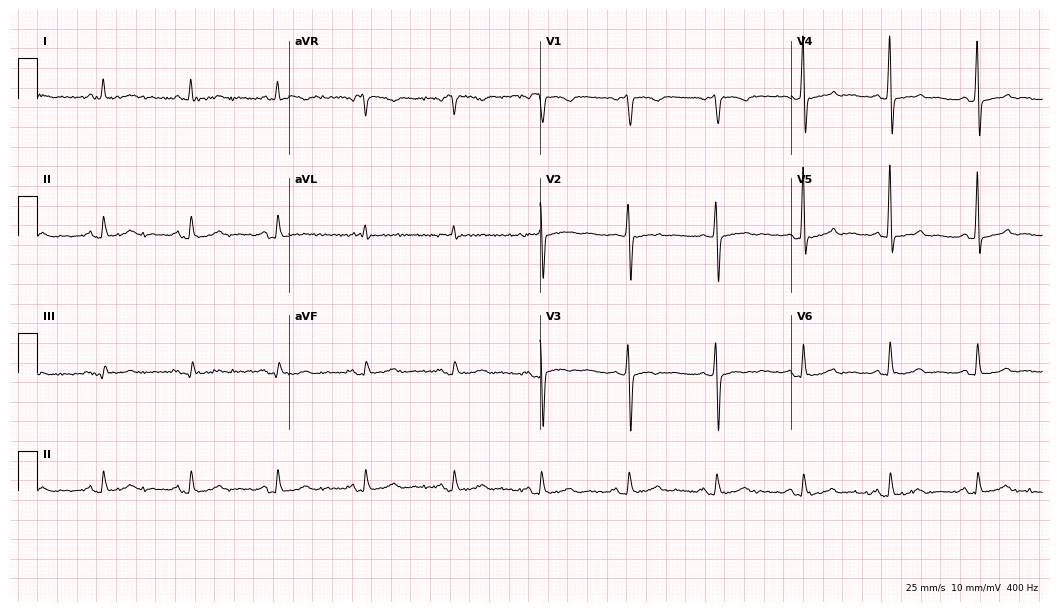
12-lead ECG from a 78-year-old man. Screened for six findings — first-degree AV block, right bundle branch block, left bundle branch block, sinus bradycardia, atrial fibrillation, sinus tachycardia — none is recorded. Only these six findings were labelled.